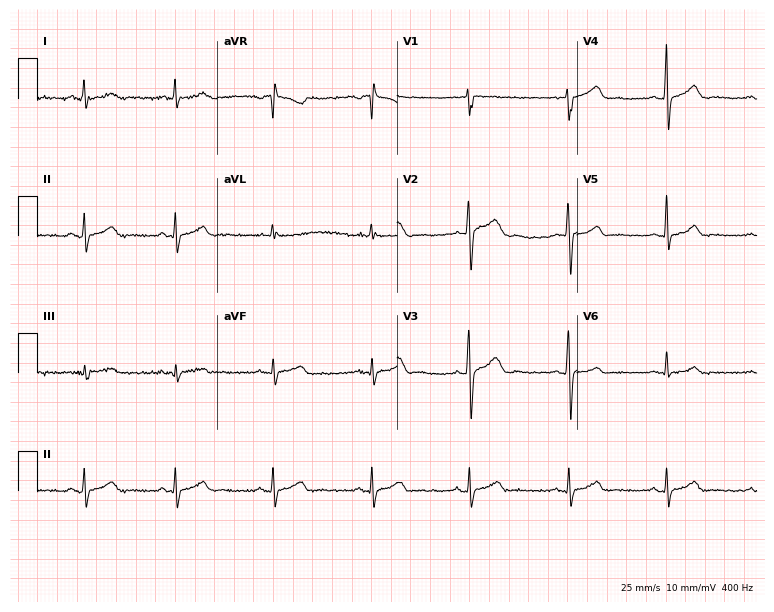
12-lead ECG from a man, 30 years old. Labelled as a normal ECG.